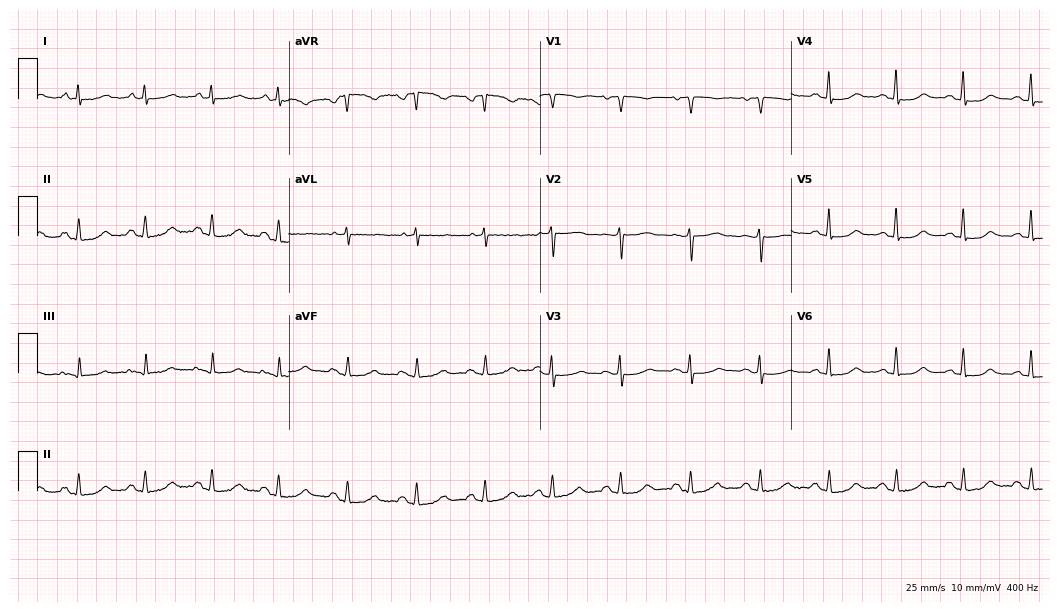
Resting 12-lead electrocardiogram. Patient: a 69-year-old female. None of these six findings is recorded: first-degree AV block, right bundle branch block, left bundle branch block, sinus bradycardia, atrial fibrillation, sinus tachycardia.